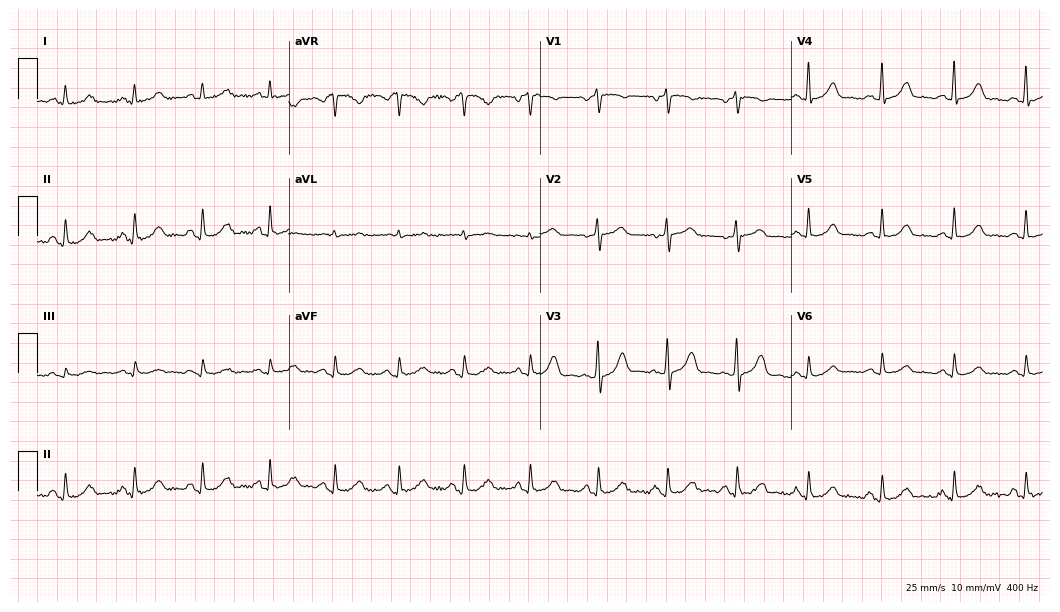
12-lead ECG from a 67-year-old woman (10.2-second recording at 400 Hz). Recorded interpretation: within normal limits.